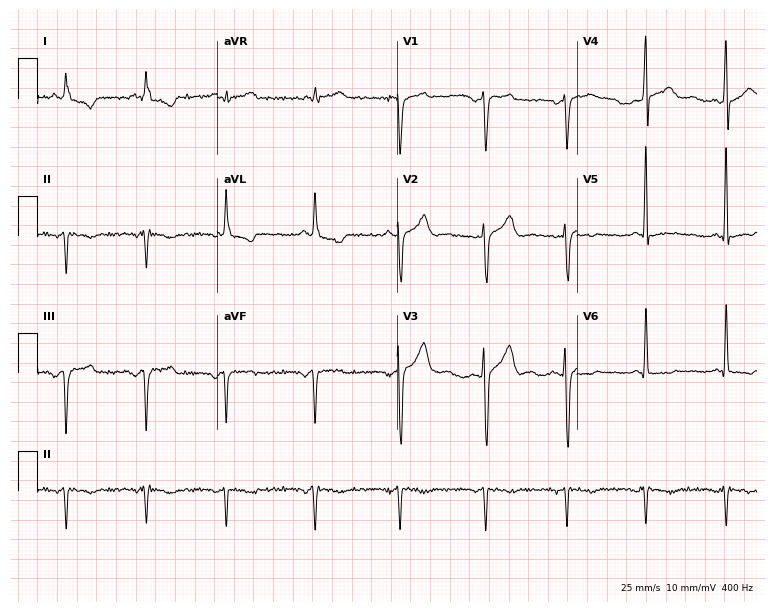
Electrocardiogram, a 50-year-old male patient. Of the six screened findings (first-degree AV block, right bundle branch block (RBBB), left bundle branch block (LBBB), sinus bradycardia, atrial fibrillation (AF), sinus tachycardia), none is recorded.